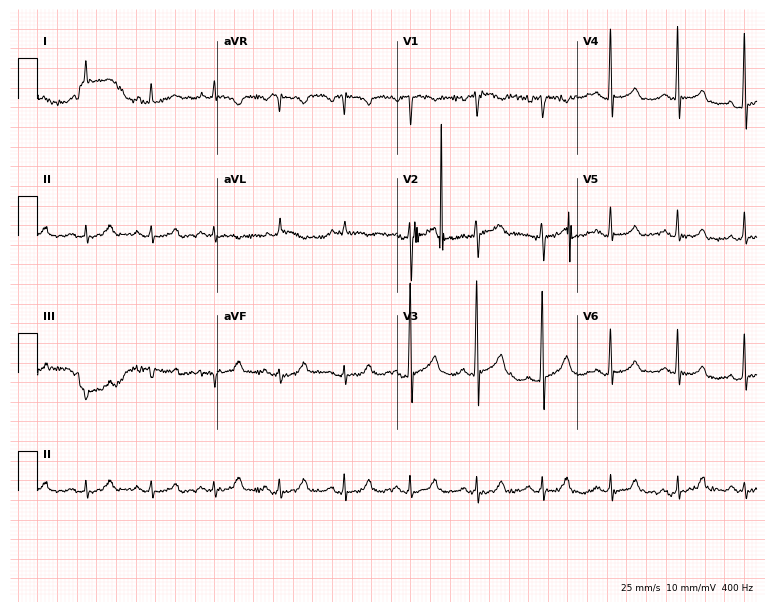
Electrocardiogram, an 82-year-old man. Of the six screened findings (first-degree AV block, right bundle branch block, left bundle branch block, sinus bradycardia, atrial fibrillation, sinus tachycardia), none is recorded.